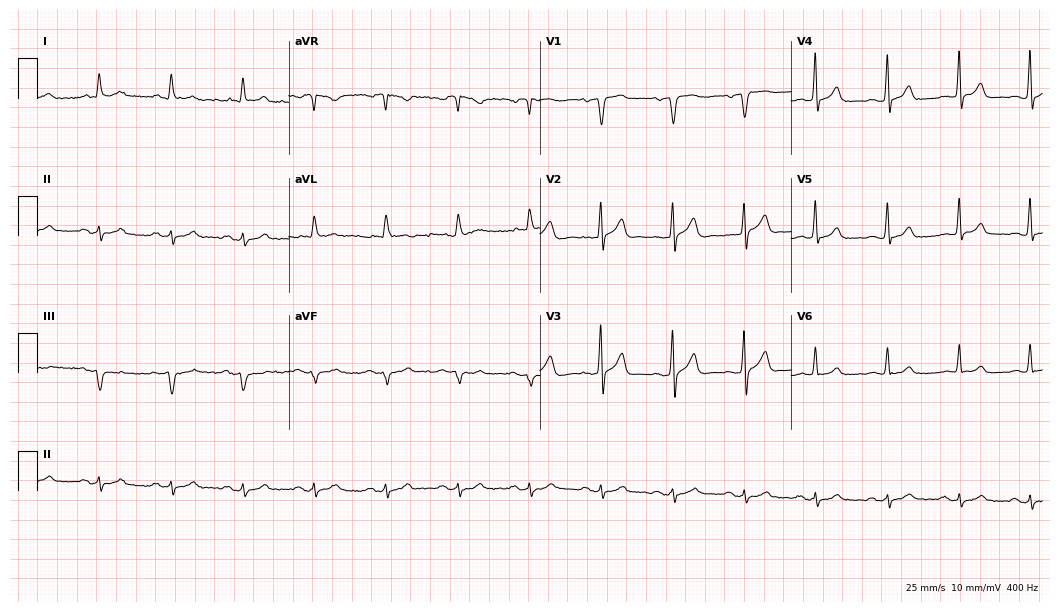
12-lead ECG from a man, 66 years old (10.2-second recording at 400 Hz). Recorded interpretation: within normal limits.